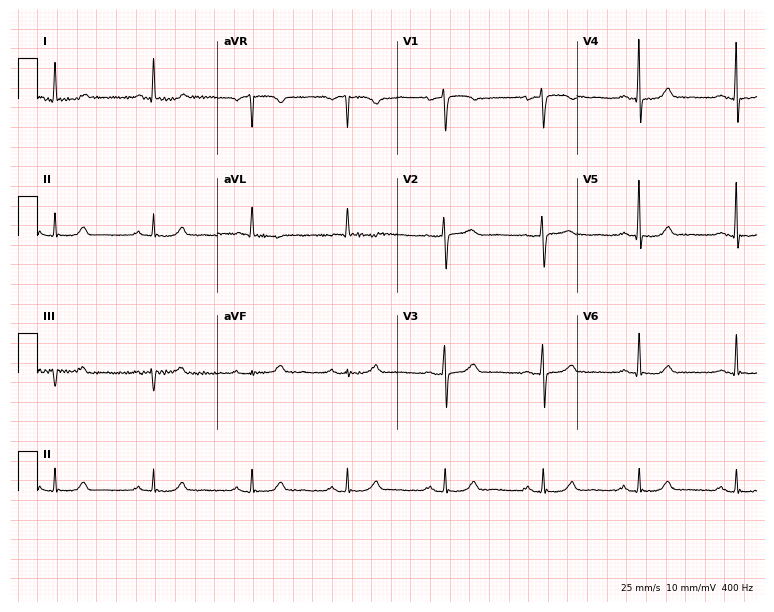
Resting 12-lead electrocardiogram. Patient: an 80-year-old female. Read as a normal ECG.